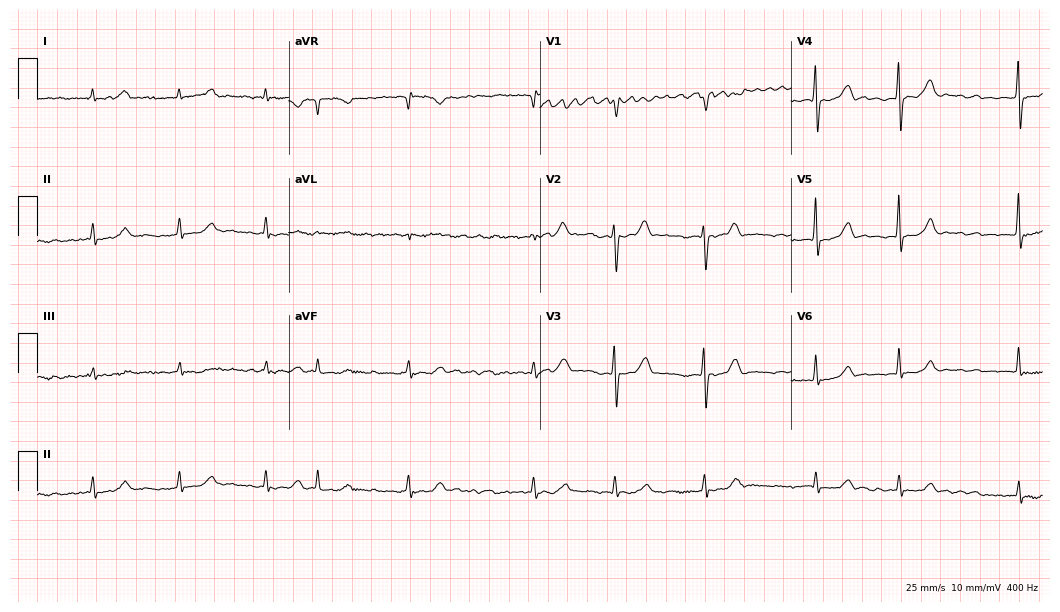
Resting 12-lead electrocardiogram. Patient: a male, 81 years old. The tracing shows atrial fibrillation (AF).